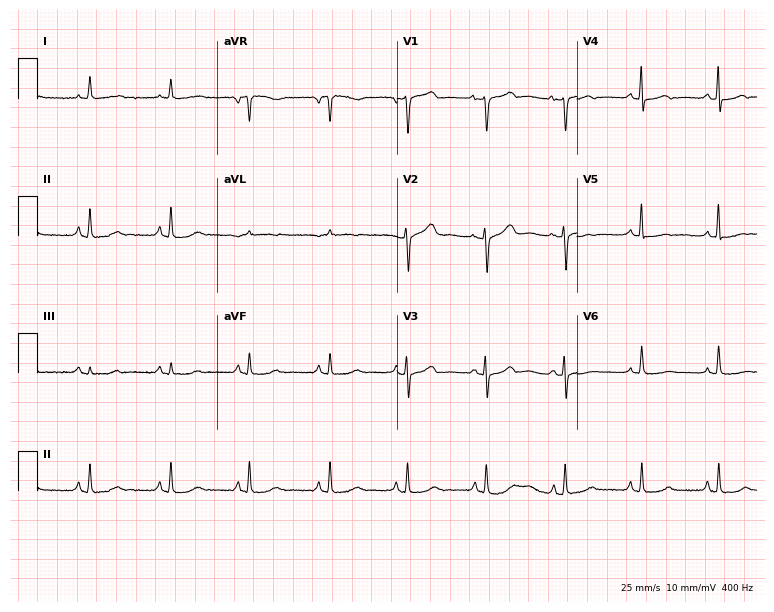
Electrocardiogram, a female, 67 years old. Of the six screened findings (first-degree AV block, right bundle branch block, left bundle branch block, sinus bradycardia, atrial fibrillation, sinus tachycardia), none is recorded.